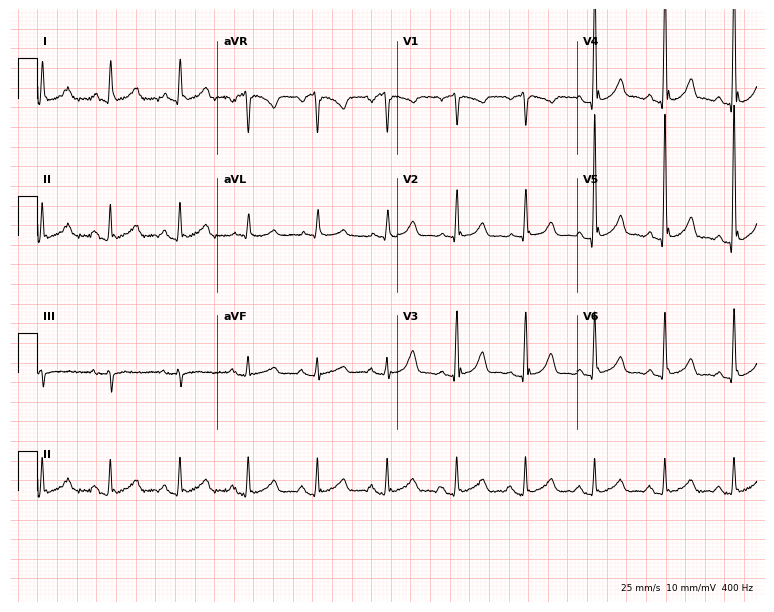
Resting 12-lead electrocardiogram (7.3-second recording at 400 Hz). Patient: a 51-year-old male. Read as a normal ECG.